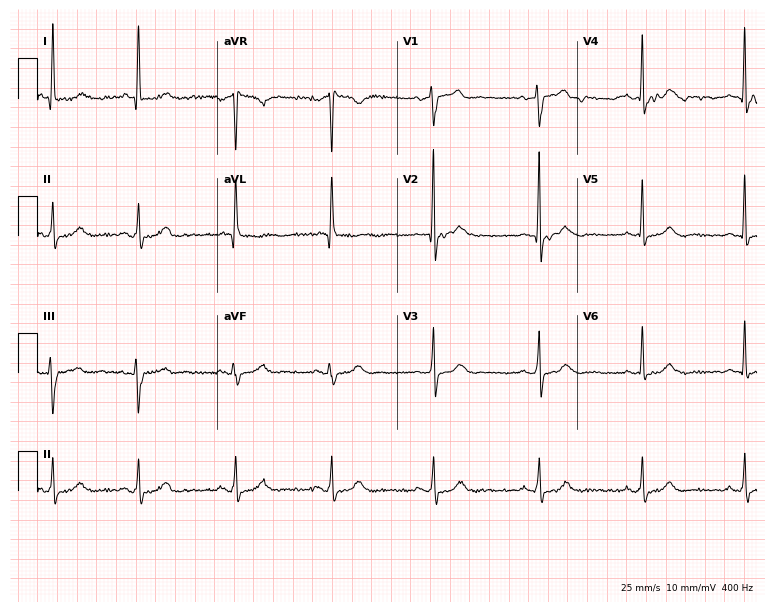
Electrocardiogram, a male, 61 years old. Of the six screened findings (first-degree AV block, right bundle branch block, left bundle branch block, sinus bradycardia, atrial fibrillation, sinus tachycardia), none is recorded. Other findings, if any, are not listed.